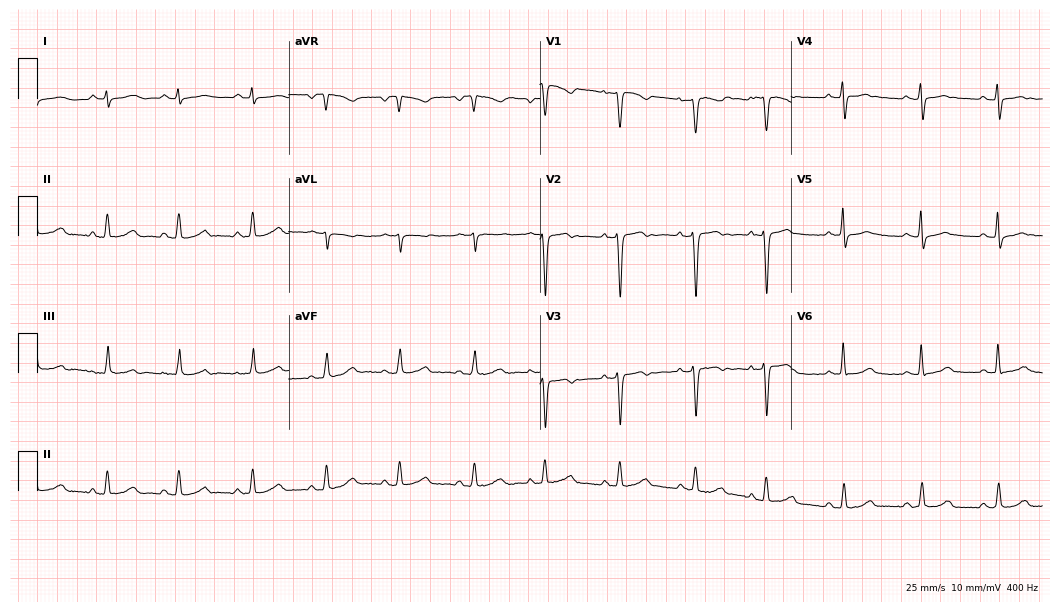
ECG — a 42-year-old female patient. Screened for six findings — first-degree AV block, right bundle branch block, left bundle branch block, sinus bradycardia, atrial fibrillation, sinus tachycardia — none is recorded. Other findings, if any, are not listed.